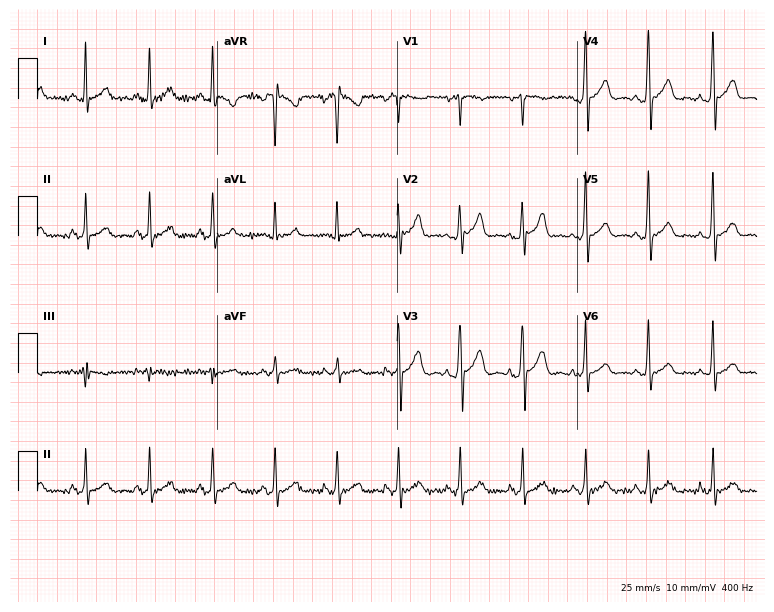
Electrocardiogram, a 39-year-old man. Overall reading on record: normal ECG.